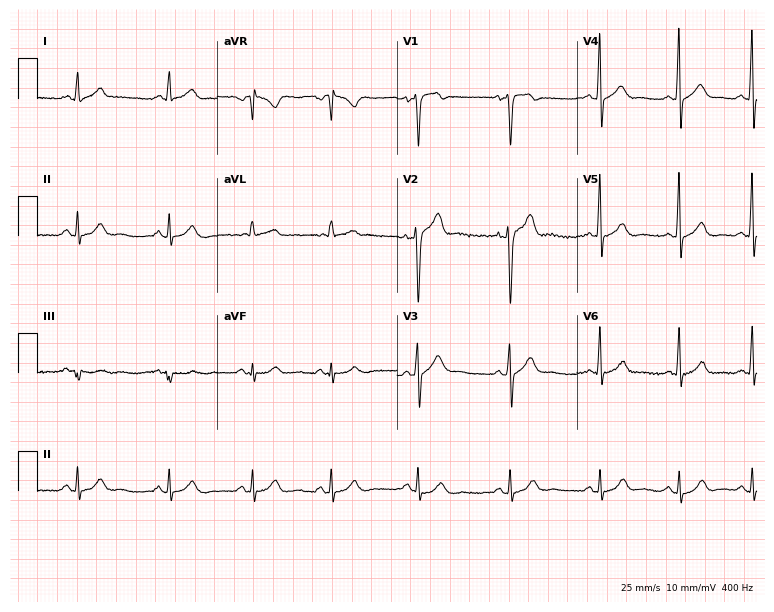
Electrocardiogram, a male patient, 24 years old. Overall reading on record: normal ECG.